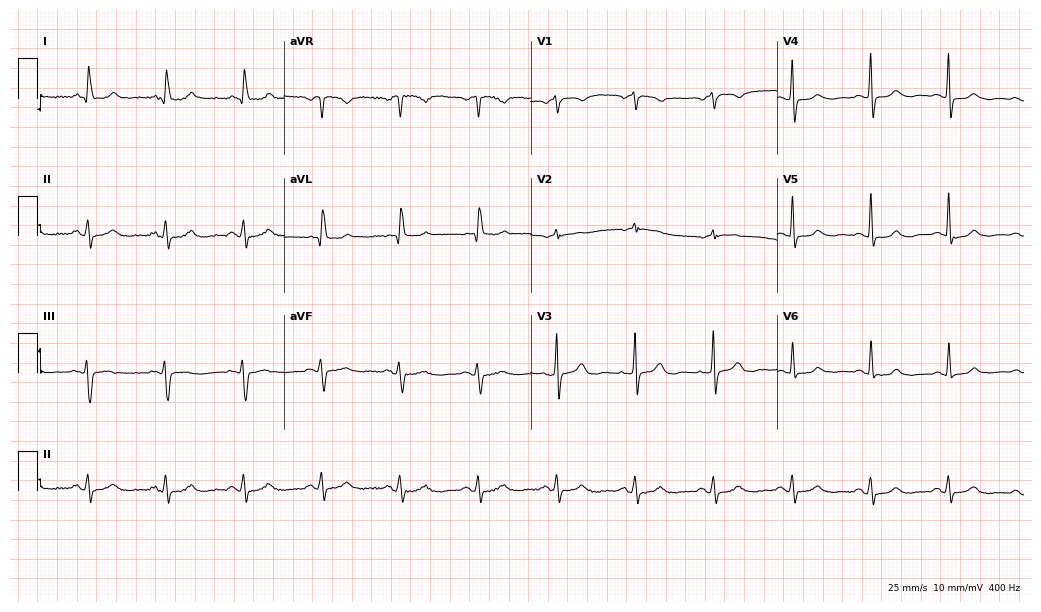
Standard 12-lead ECG recorded from a 75-year-old female (10.1-second recording at 400 Hz). None of these six findings is recorded: first-degree AV block, right bundle branch block, left bundle branch block, sinus bradycardia, atrial fibrillation, sinus tachycardia.